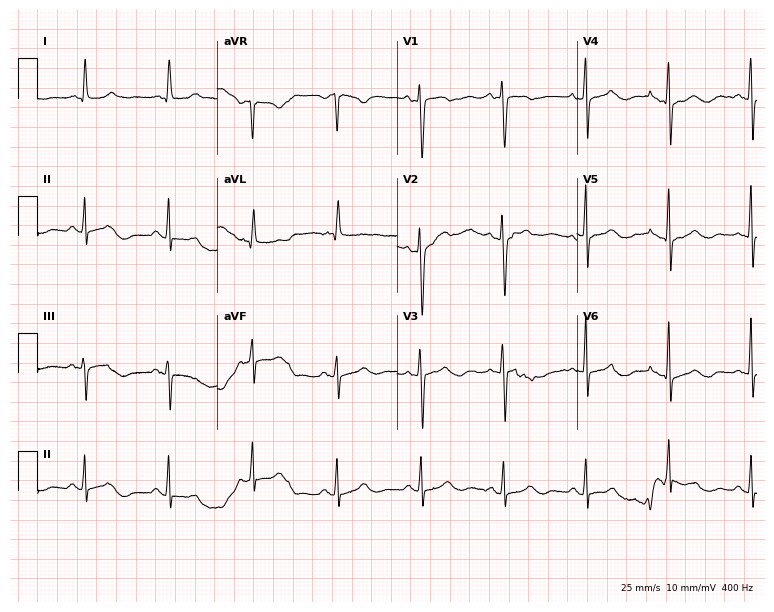
Electrocardiogram, a woman, 75 years old. Overall reading on record: normal ECG.